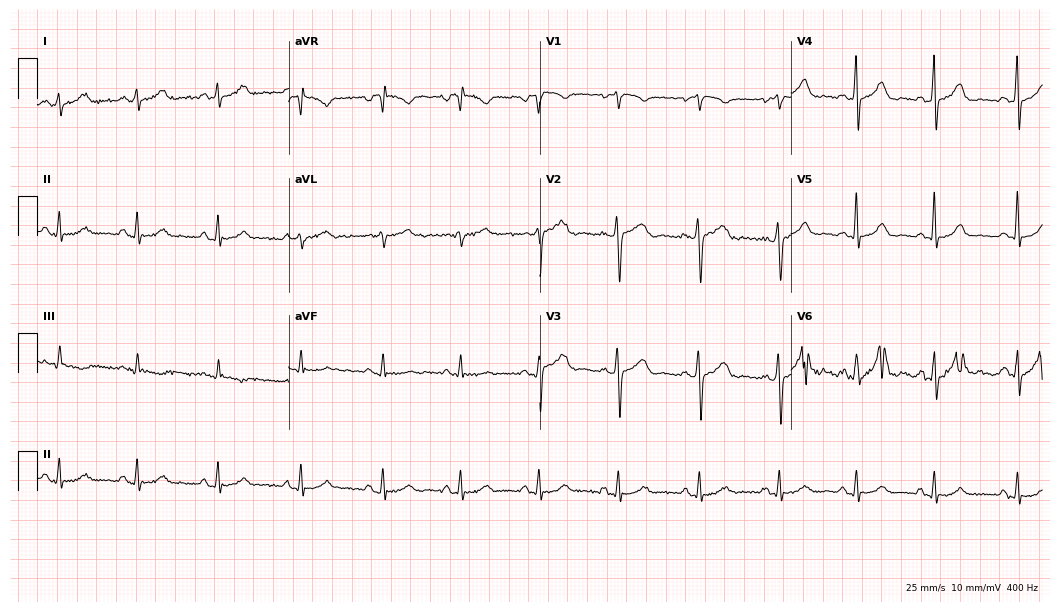
Resting 12-lead electrocardiogram (10.2-second recording at 400 Hz). Patient: a 37-year-old female. Read as a normal ECG.